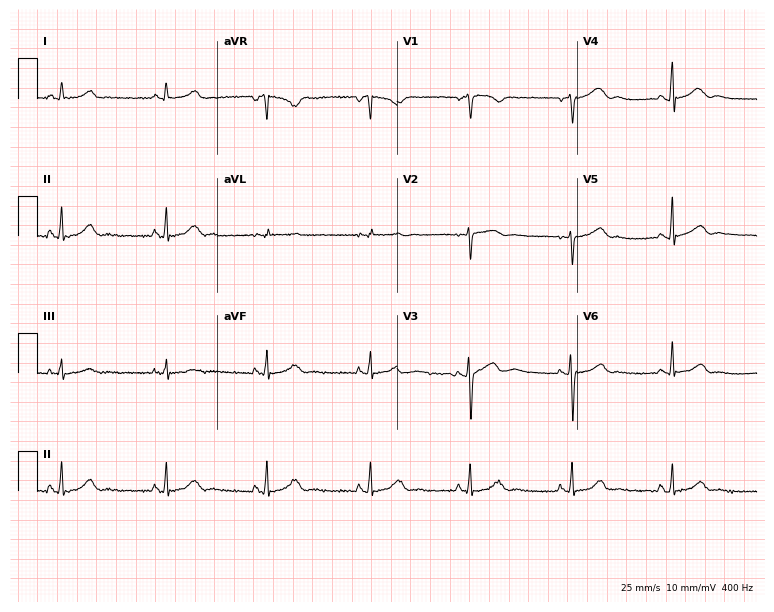
Resting 12-lead electrocardiogram. Patient: a female, 65 years old. Read as a normal ECG.